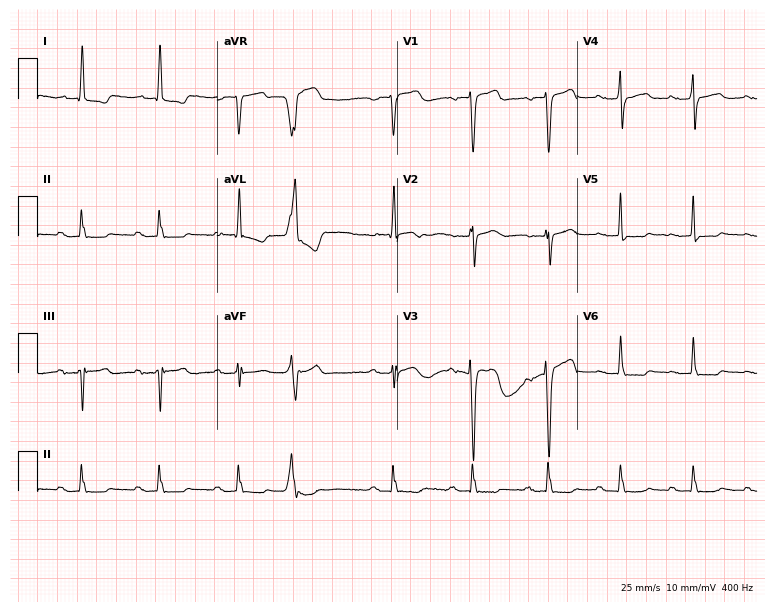
12-lead ECG from a 78-year-old female patient. No first-degree AV block, right bundle branch block, left bundle branch block, sinus bradycardia, atrial fibrillation or sinus tachycardia recorded for this tracing.